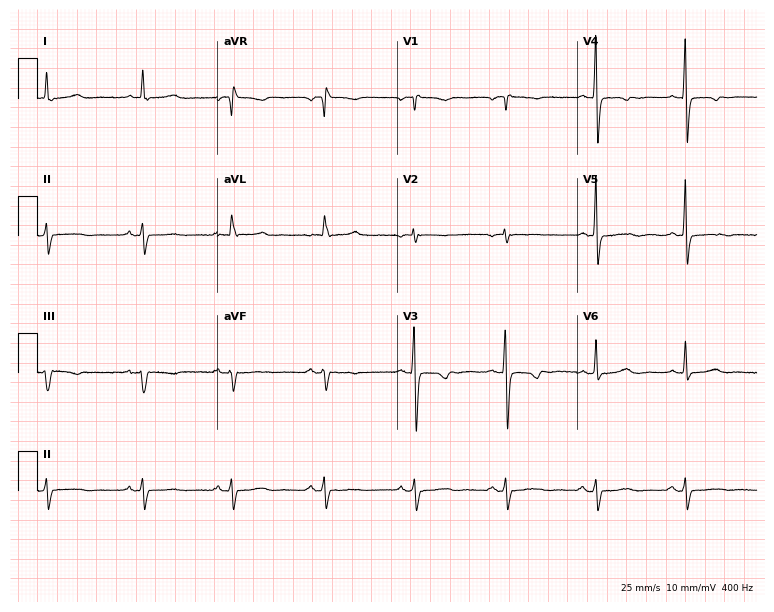
Electrocardiogram (7.3-second recording at 400 Hz), a woman, 80 years old. Of the six screened findings (first-degree AV block, right bundle branch block, left bundle branch block, sinus bradycardia, atrial fibrillation, sinus tachycardia), none is recorded. Findings outside these six are not listed.